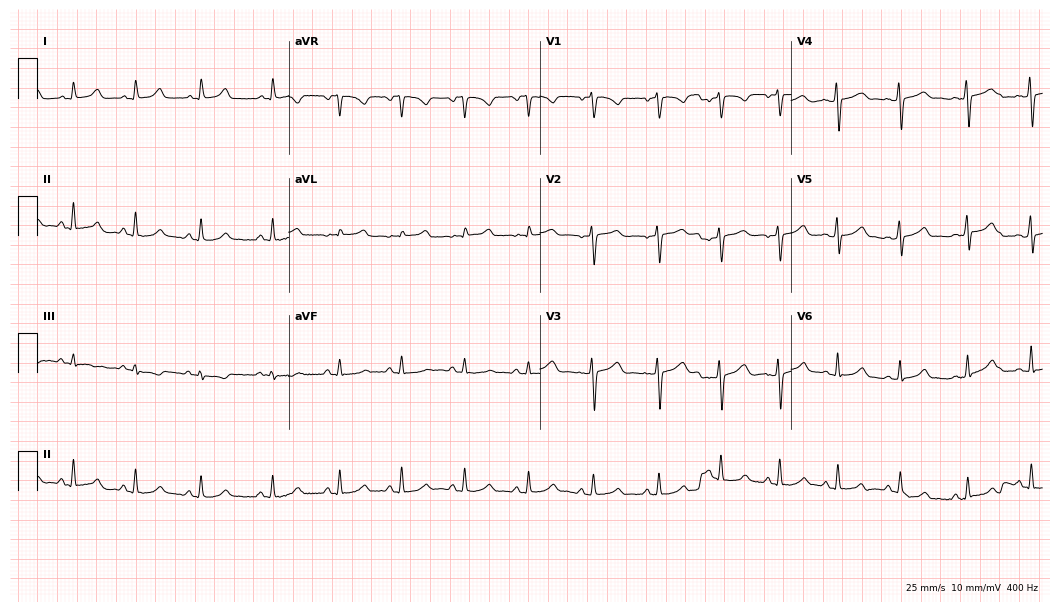
Resting 12-lead electrocardiogram (10.2-second recording at 400 Hz). Patient: a 21-year-old female. Read as a normal ECG.